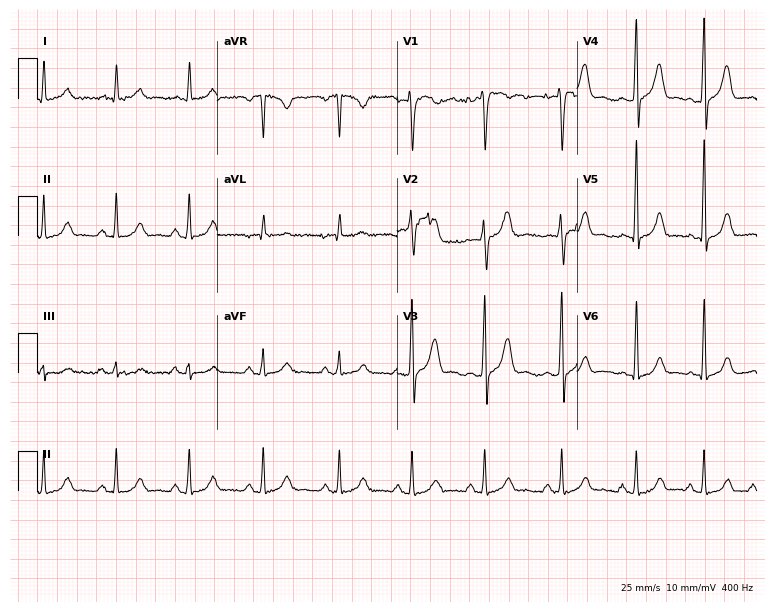
Resting 12-lead electrocardiogram (7.3-second recording at 400 Hz). Patient: a woman, 27 years old. None of these six findings is recorded: first-degree AV block, right bundle branch block, left bundle branch block, sinus bradycardia, atrial fibrillation, sinus tachycardia. Only these six findings were labelled.